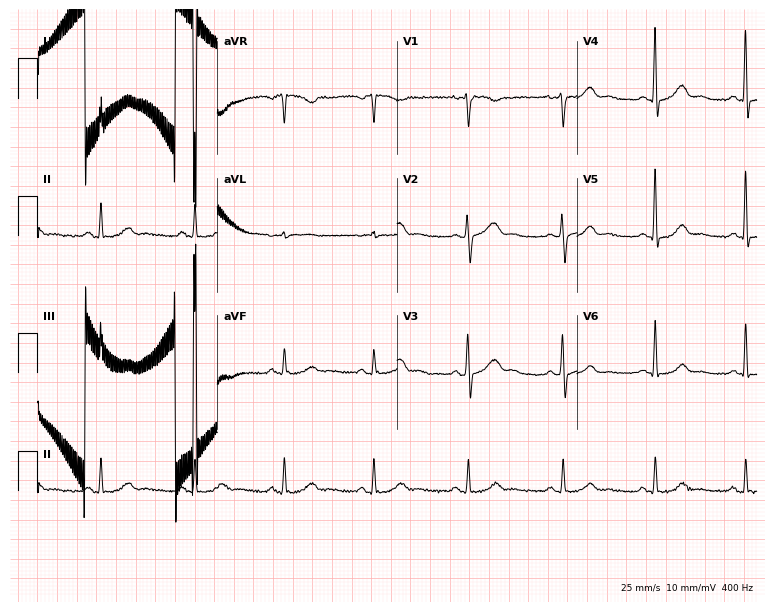
12-lead ECG from a man, 51 years old (7.3-second recording at 400 Hz). Recorded interpretation: within normal limits.